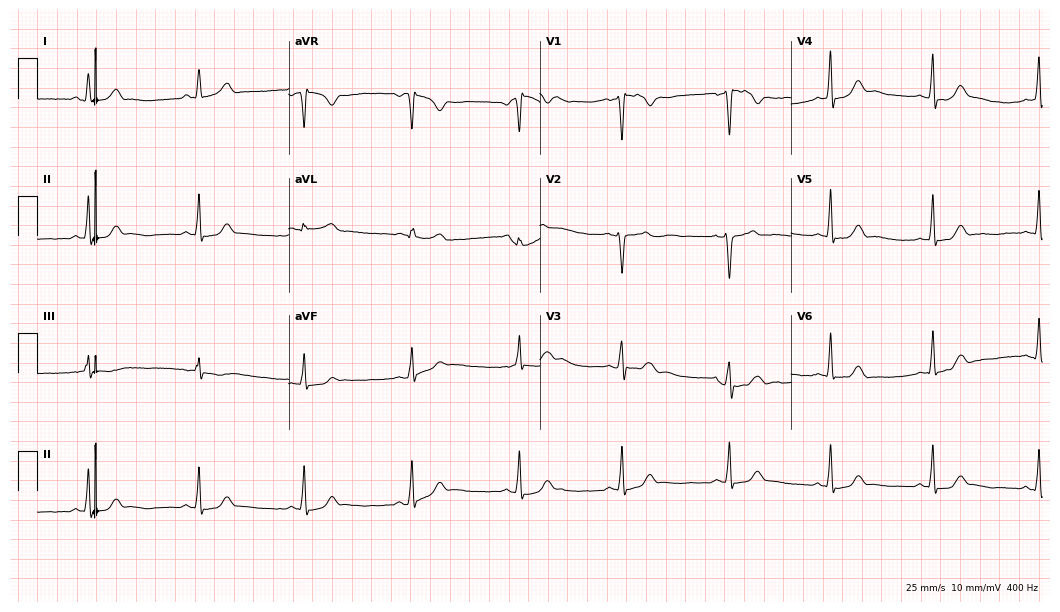
Standard 12-lead ECG recorded from a 19-year-old female. Read as a normal ECG.